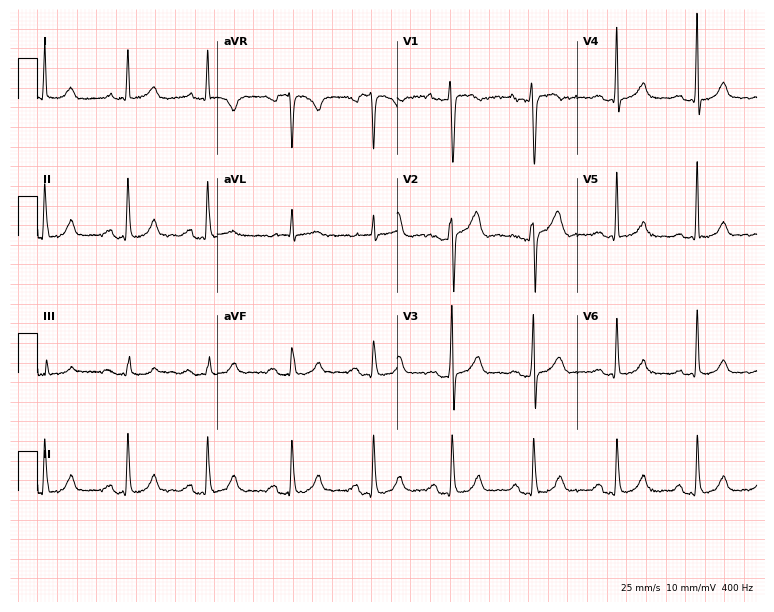
12-lead ECG from a 39-year-old female. No first-degree AV block, right bundle branch block, left bundle branch block, sinus bradycardia, atrial fibrillation or sinus tachycardia recorded for this tracing. Findings outside these six are not listed.